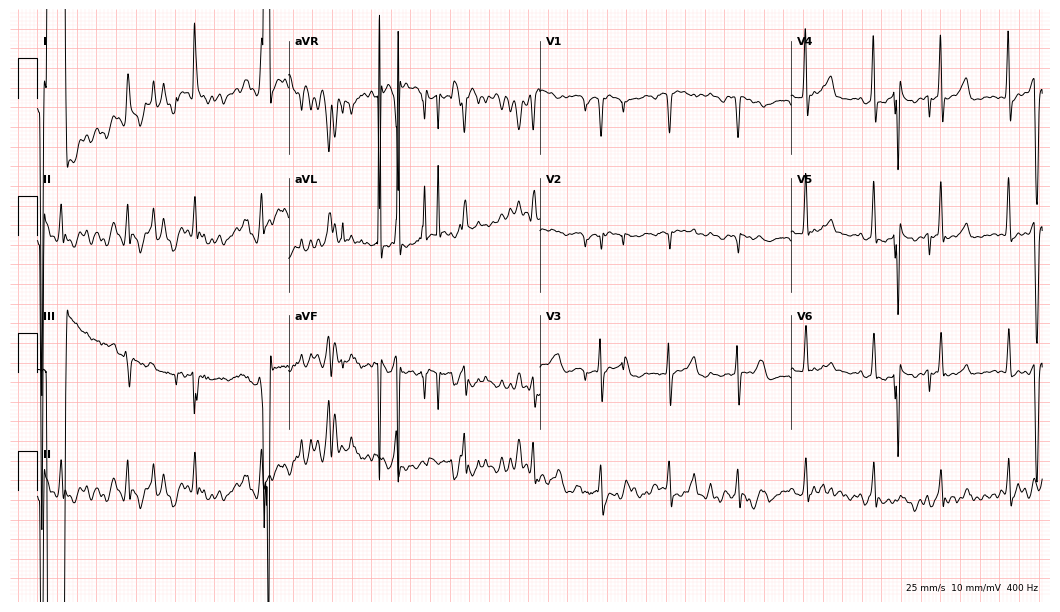
12-lead ECG (10.2-second recording at 400 Hz) from an 80-year-old woman. Screened for six findings — first-degree AV block, right bundle branch block, left bundle branch block, sinus bradycardia, atrial fibrillation, sinus tachycardia — none is recorded. Other findings, if any, are not listed.